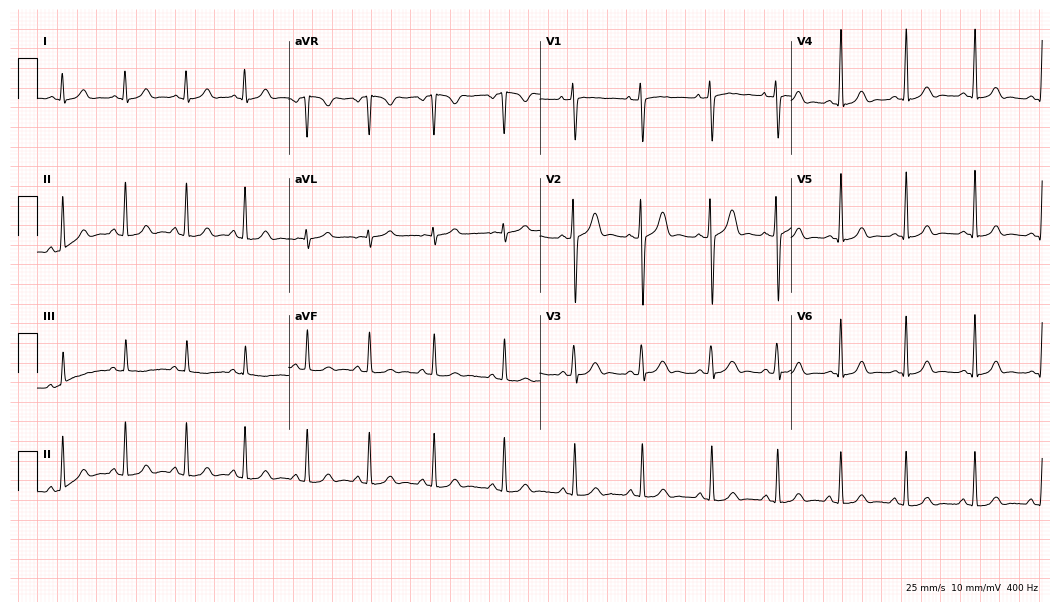
Standard 12-lead ECG recorded from a female, 18 years old. Read as a normal ECG.